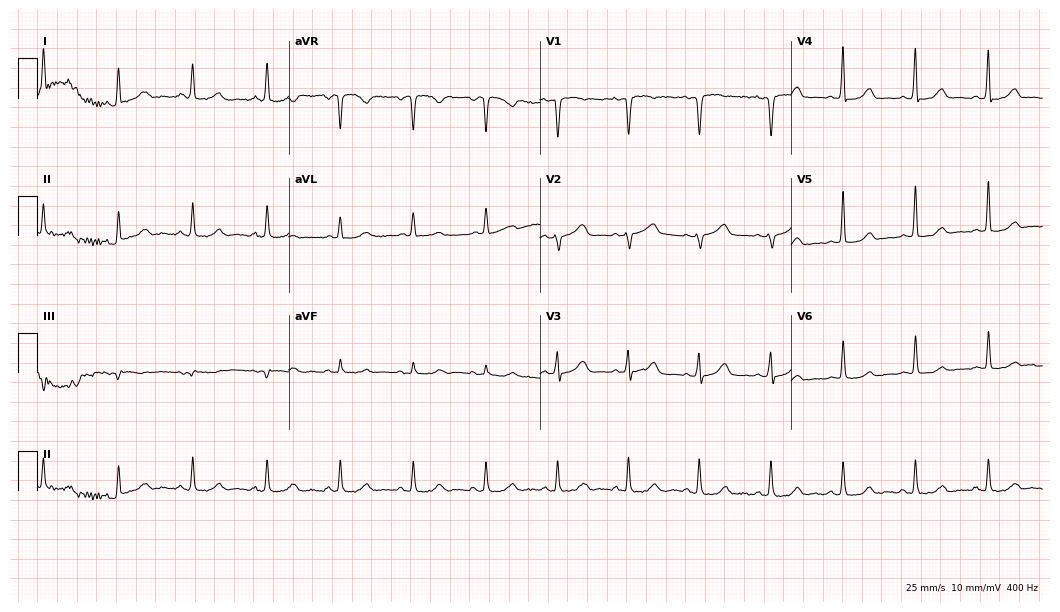
Standard 12-lead ECG recorded from a female, 59 years old (10.2-second recording at 400 Hz). None of these six findings is recorded: first-degree AV block, right bundle branch block, left bundle branch block, sinus bradycardia, atrial fibrillation, sinus tachycardia. Other findings, if any, are not listed.